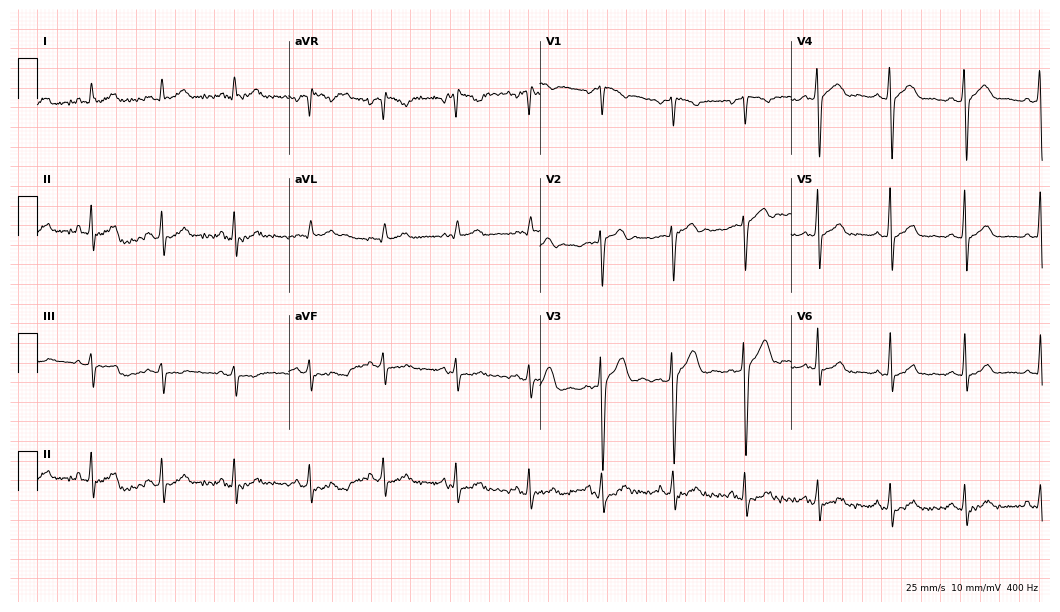
12-lead ECG (10.2-second recording at 400 Hz) from a 46-year-old man. Screened for six findings — first-degree AV block, right bundle branch block, left bundle branch block, sinus bradycardia, atrial fibrillation, sinus tachycardia — none is recorded. Other findings, if any, are not listed.